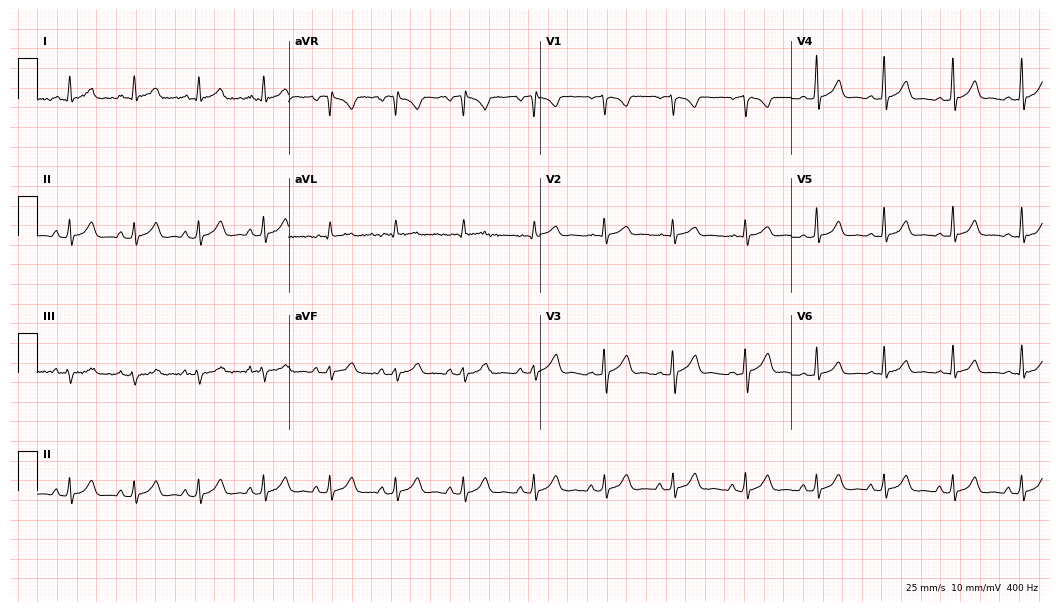
12-lead ECG from a female, 19 years old (10.2-second recording at 400 Hz). Recorded interpretation: within normal limits.